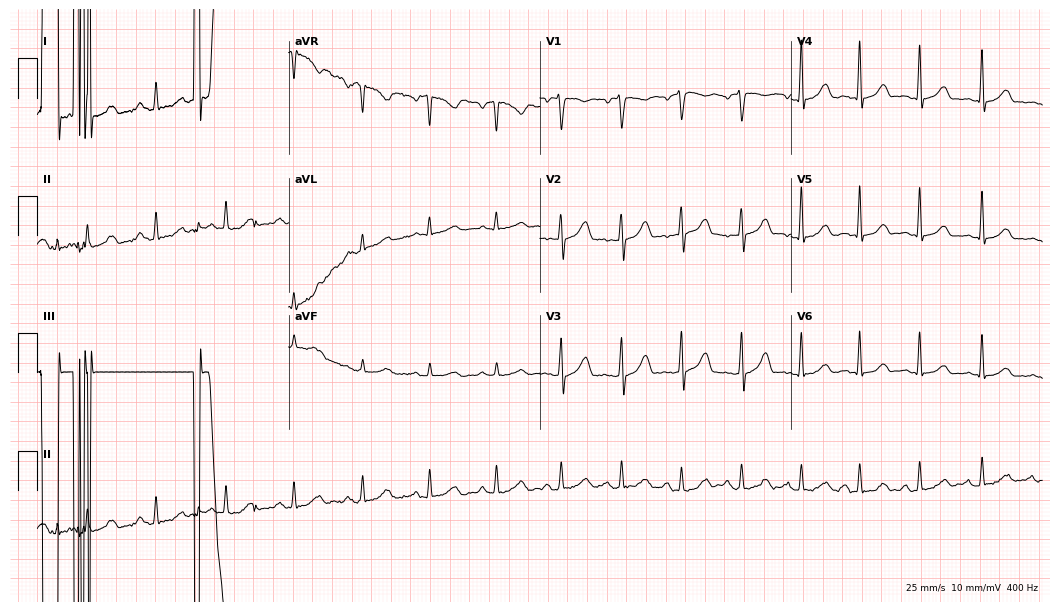
12-lead ECG from a female, 34 years old. Screened for six findings — first-degree AV block, right bundle branch block, left bundle branch block, sinus bradycardia, atrial fibrillation, sinus tachycardia — none is recorded.